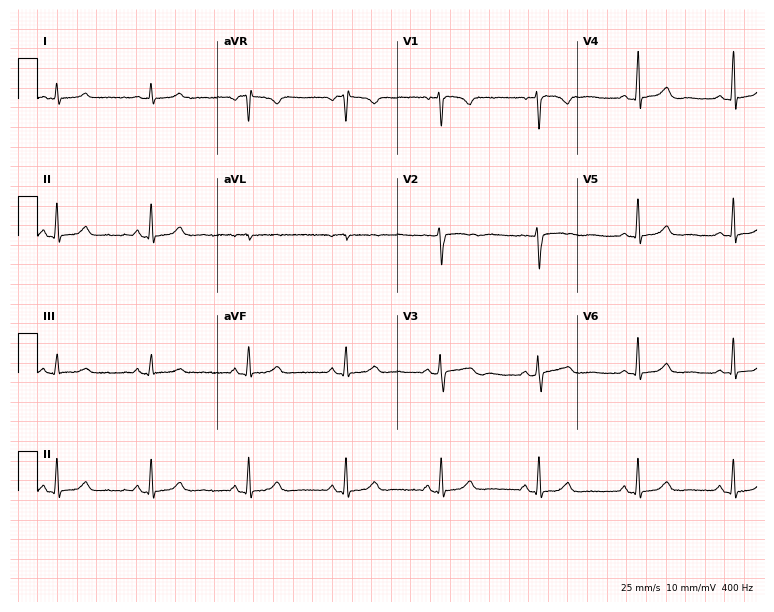
12-lead ECG from a 43-year-old woman (7.3-second recording at 400 Hz). No first-degree AV block, right bundle branch block, left bundle branch block, sinus bradycardia, atrial fibrillation or sinus tachycardia recorded for this tracing.